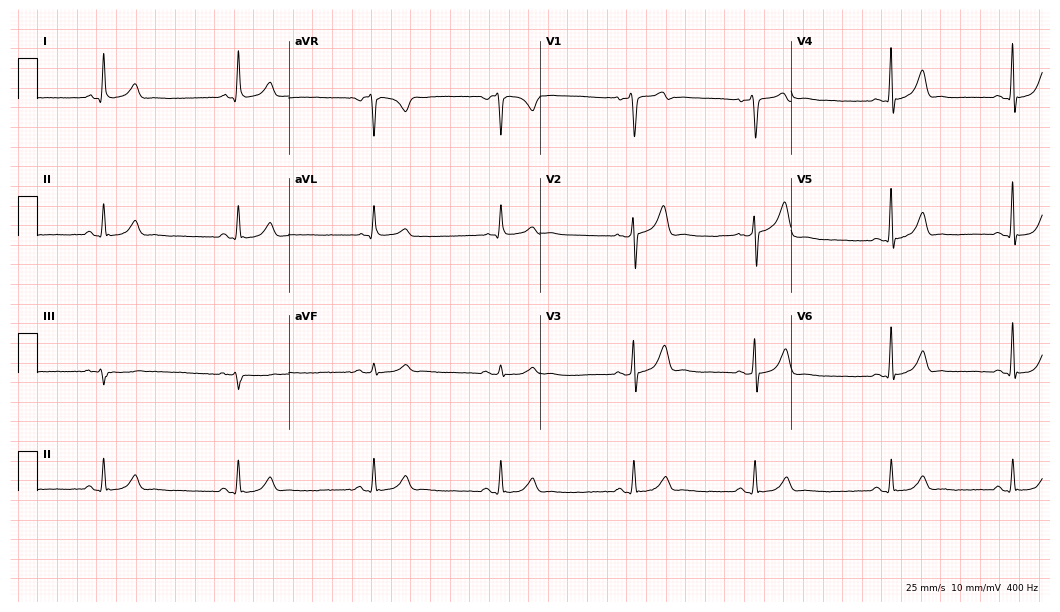
ECG — a female patient, 49 years old. Screened for six findings — first-degree AV block, right bundle branch block (RBBB), left bundle branch block (LBBB), sinus bradycardia, atrial fibrillation (AF), sinus tachycardia — none is recorded. Only these six findings were labelled.